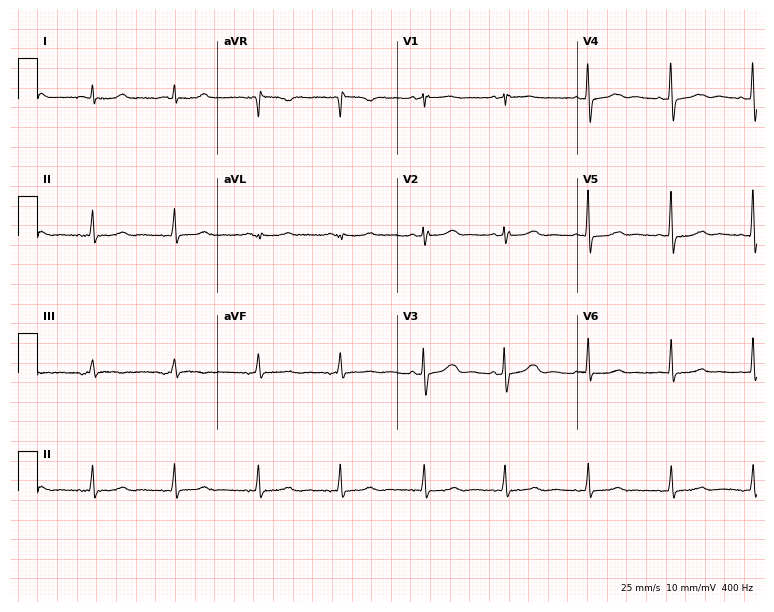
12-lead ECG from a 71-year-old female patient. No first-degree AV block, right bundle branch block, left bundle branch block, sinus bradycardia, atrial fibrillation or sinus tachycardia recorded for this tracing.